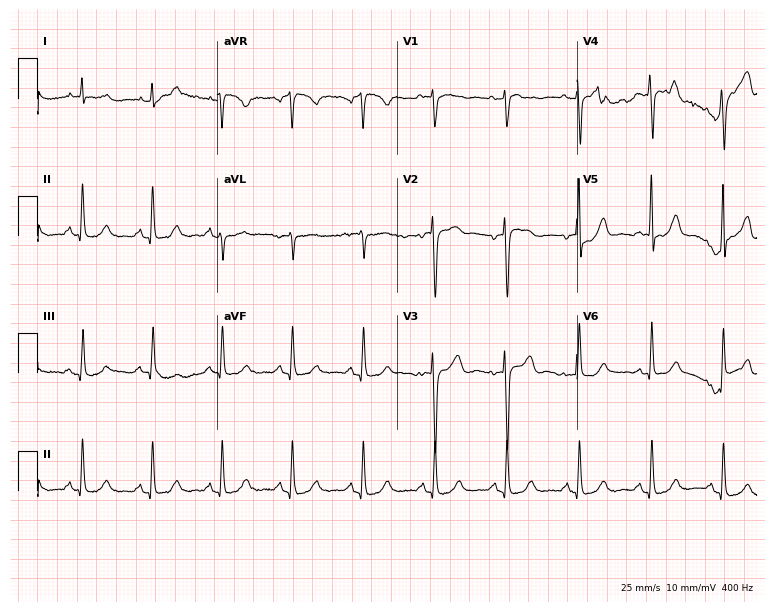
Resting 12-lead electrocardiogram (7.3-second recording at 400 Hz). Patient: a female, 62 years old. None of these six findings is recorded: first-degree AV block, right bundle branch block (RBBB), left bundle branch block (LBBB), sinus bradycardia, atrial fibrillation (AF), sinus tachycardia. Other findings, if any, are not listed.